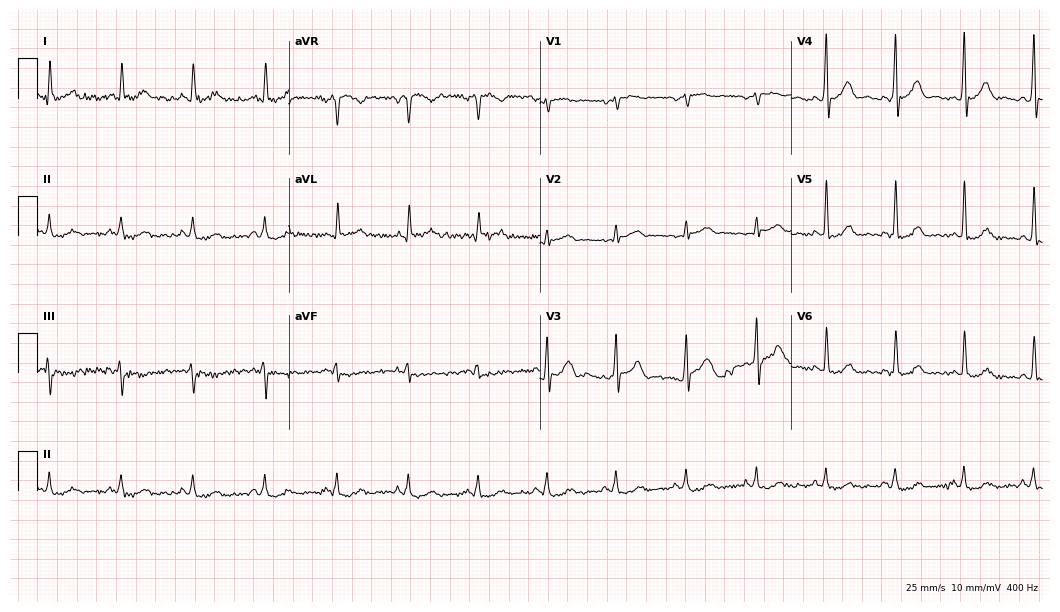
Electrocardiogram (10.2-second recording at 400 Hz), a male, 46 years old. Overall reading on record: normal ECG.